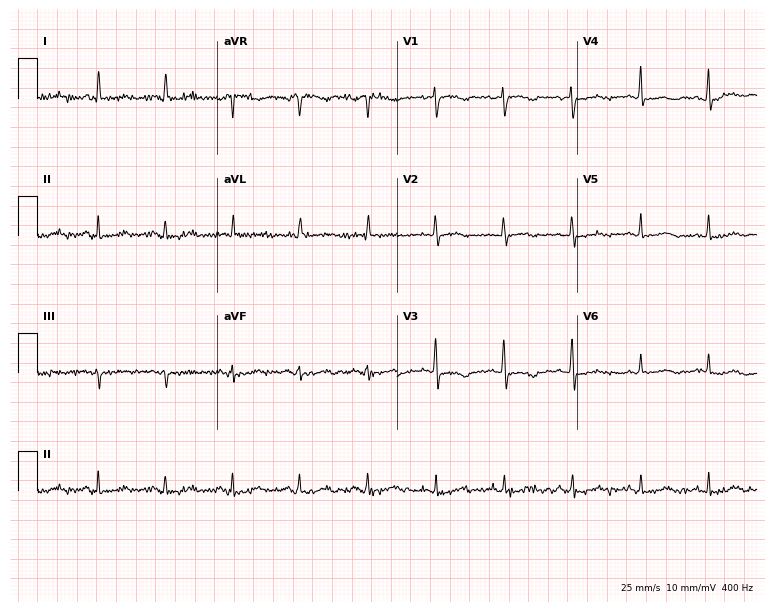
Resting 12-lead electrocardiogram. Patient: a woman, 51 years old. None of these six findings is recorded: first-degree AV block, right bundle branch block, left bundle branch block, sinus bradycardia, atrial fibrillation, sinus tachycardia.